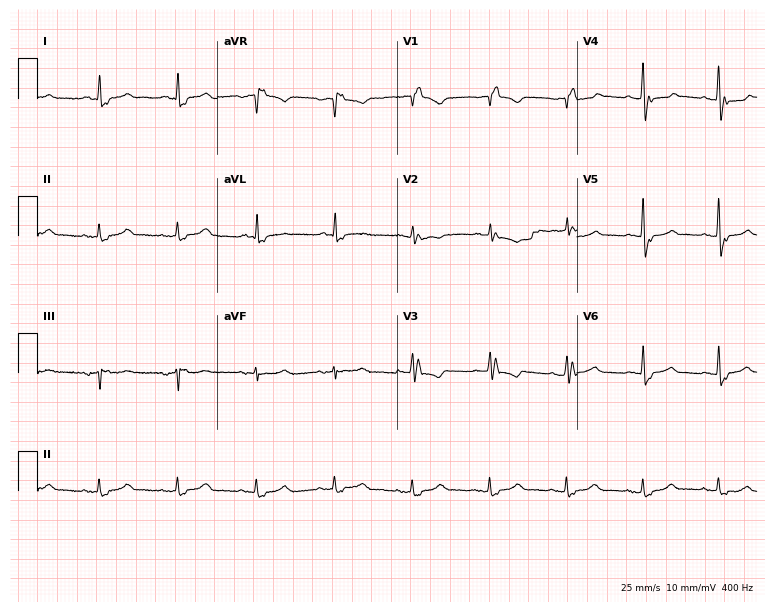
12-lead ECG (7.3-second recording at 400 Hz) from a male patient, 77 years old. Findings include right bundle branch block (RBBB).